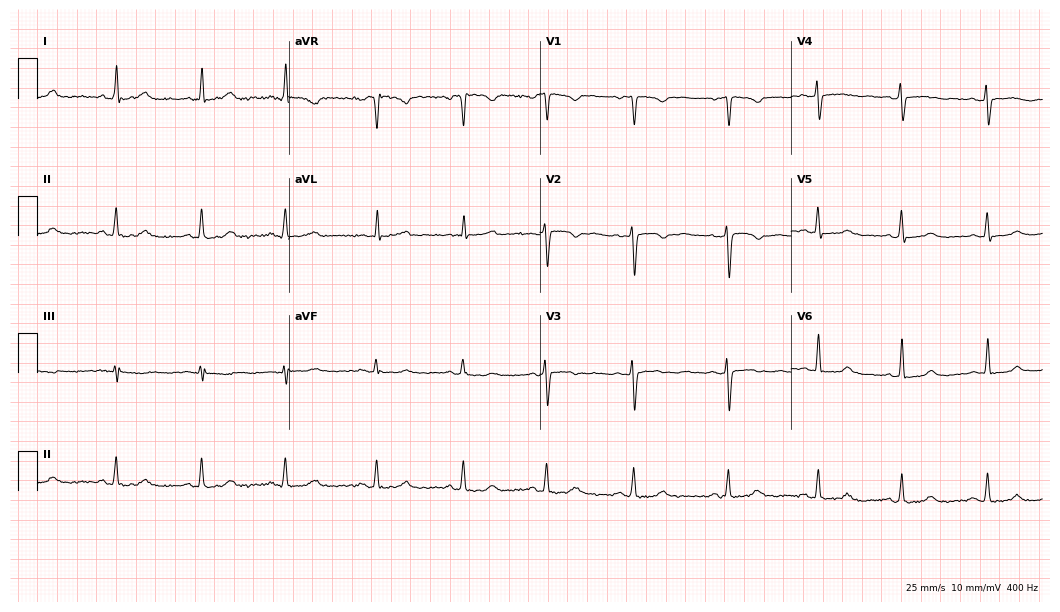
Standard 12-lead ECG recorded from a woman, 39 years old. None of these six findings is recorded: first-degree AV block, right bundle branch block (RBBB), left bundle branch block (LBBB), sinus bradycardia, atrial fibrillation (AF), sinus tachycardia. Only these six findings were labelled.